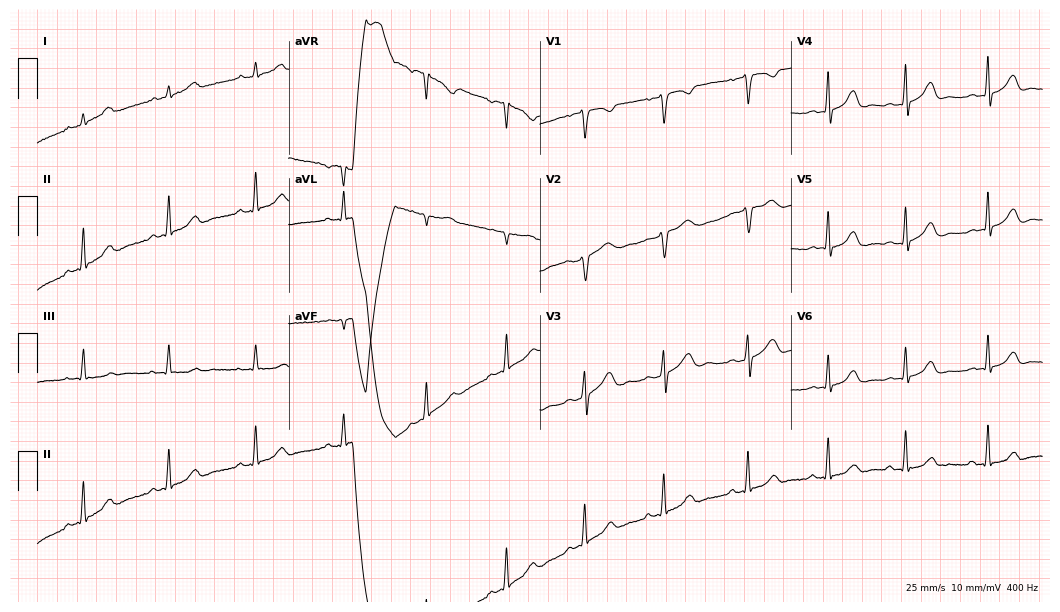
Electrocardiogram, a woman, 23 years old. Of the six screened findings (first-degree AV block, right bundle branch block, left bundle branch block, sinus bradycardia, atrial fibrillation, sinus tachycardia), none is recorded.